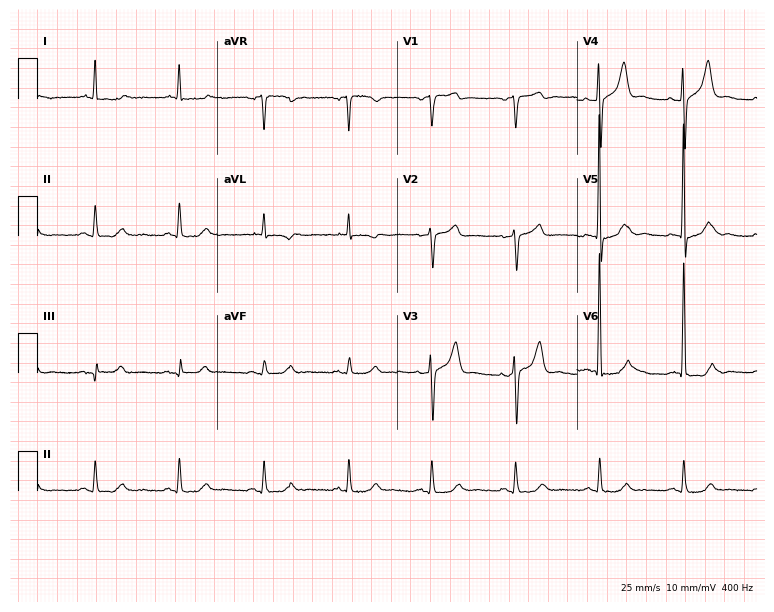
ECG (7.3-second recording at 400 Hz) — a 78-year-old male patient. Labelled as a normal ECG.